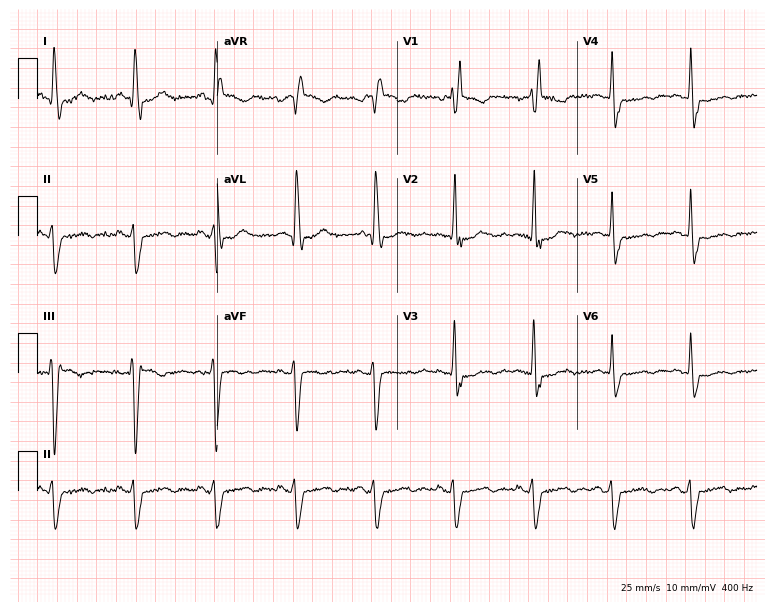
Electrocardiogram (7.3-second recording at 400 Hz), a 76-year-old female patient. Interpretation includes right bundle branch block.